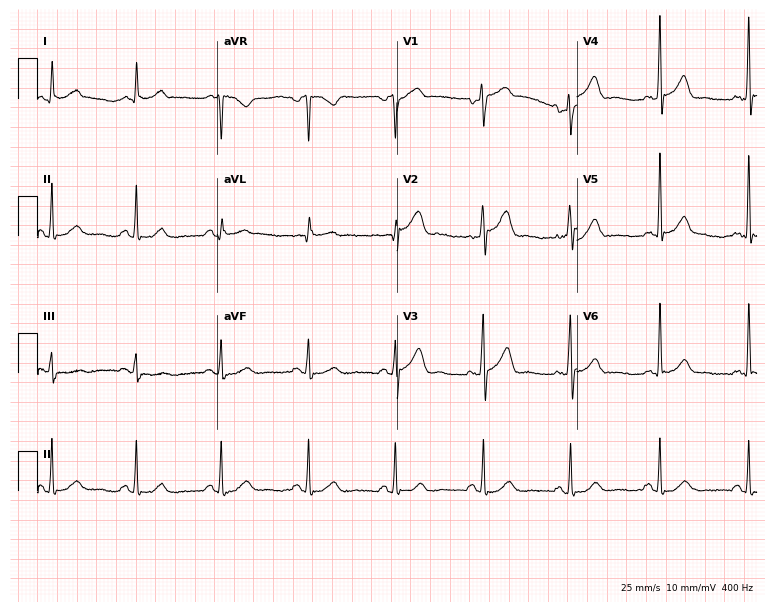
ECG (7.3-second recording at 400 Hz) — a woman, 65 years old. Labelled as a normal ECG.